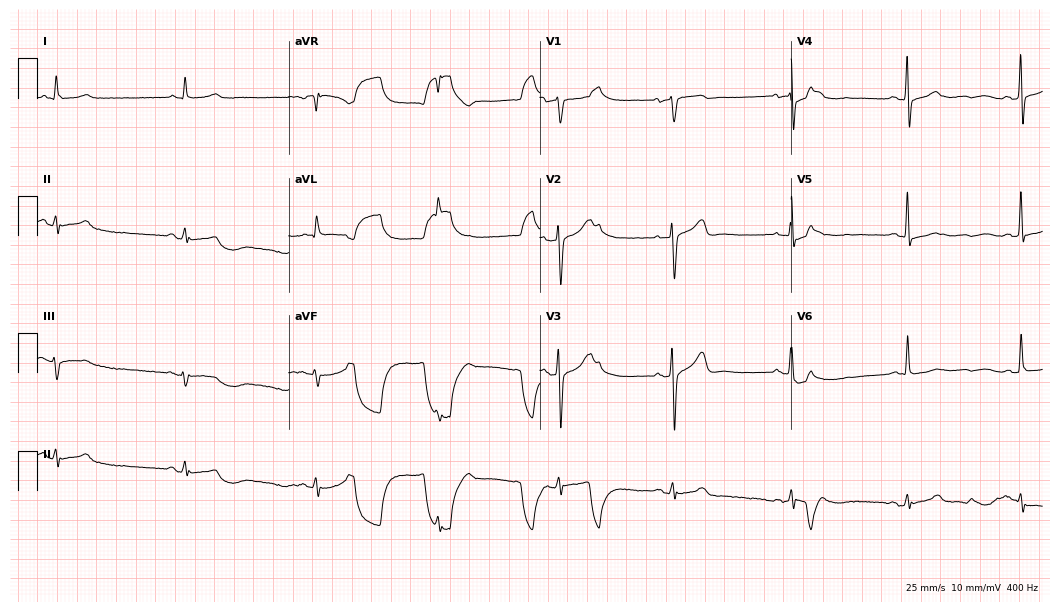
12-lead ECG from a 64-year-old male. No first-degree AV block, right bundle branch block, left bundle branch block, sinus bradycardia, atrial fibrillation or sinus tachycardia recorded for this tracing. Only these six findings were labelled.